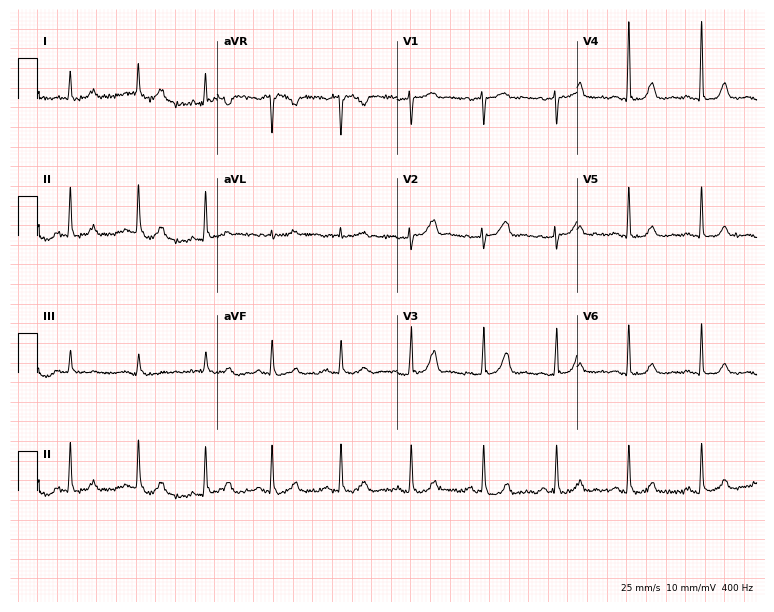
12-lead ECG from a female, 66 years old (7.3-second recording at 400 Hz). No first-degree AV block, right bundle branch block, left bundle branch block, sinus bradycardia, atrial fibrillation or sinus tachycardia recorded for this tracing.